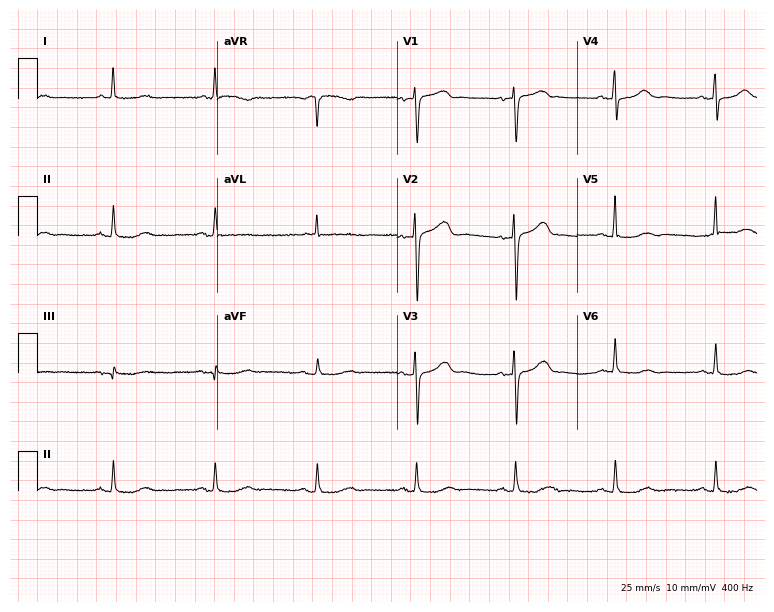
Electrocardiogram (7.3-second recording at 400 Hz), a 79-year-old female. Of the six screened findings (first-degree AV block, right bundle branch block, left bundle branch block, sinus bradycardia, atrial fibrillation, sinus tachycardia), none is recorded. Findings outside these six are not listed.